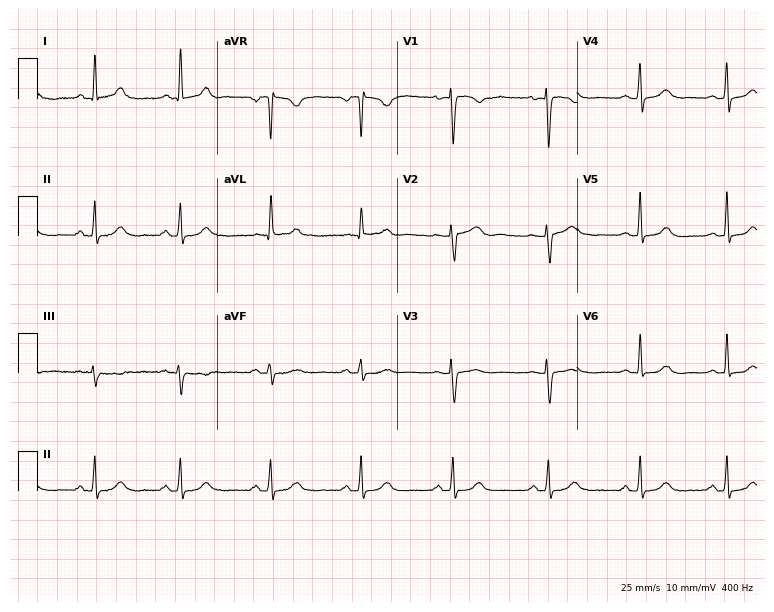
Electrocardiogram, a female, 55 years old. Overall reading on record: normal ECG.